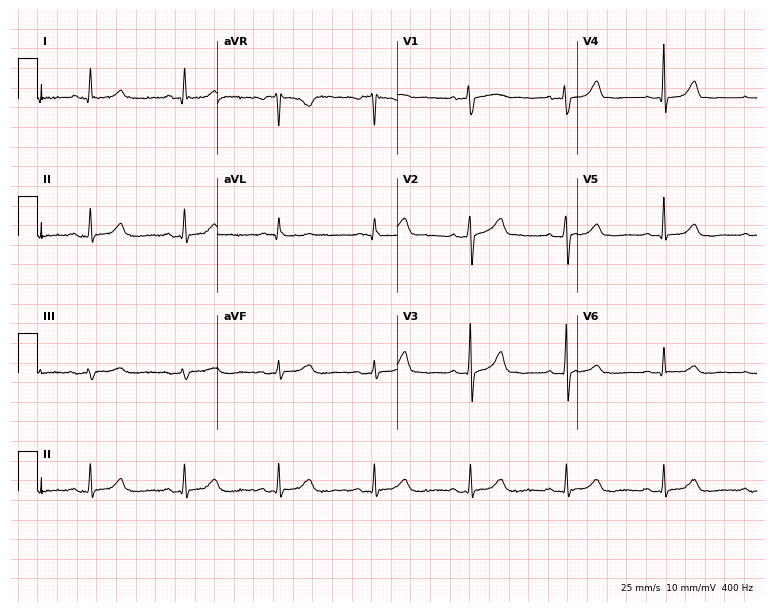
ECG — a 76-year-old female. Labelled as a normal ECG.